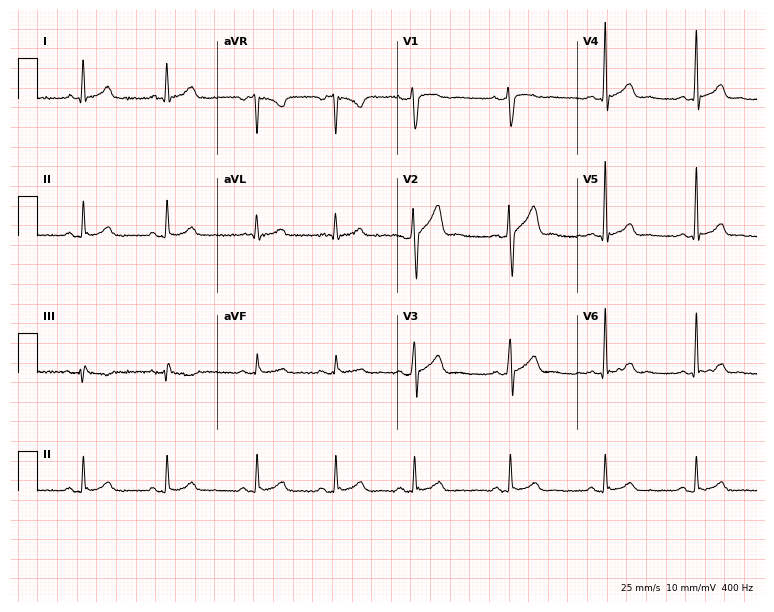
12-lead ECG (7.3-second recording at 400 Hz) from a male, 37 years old. Labelled as a normal ECG.